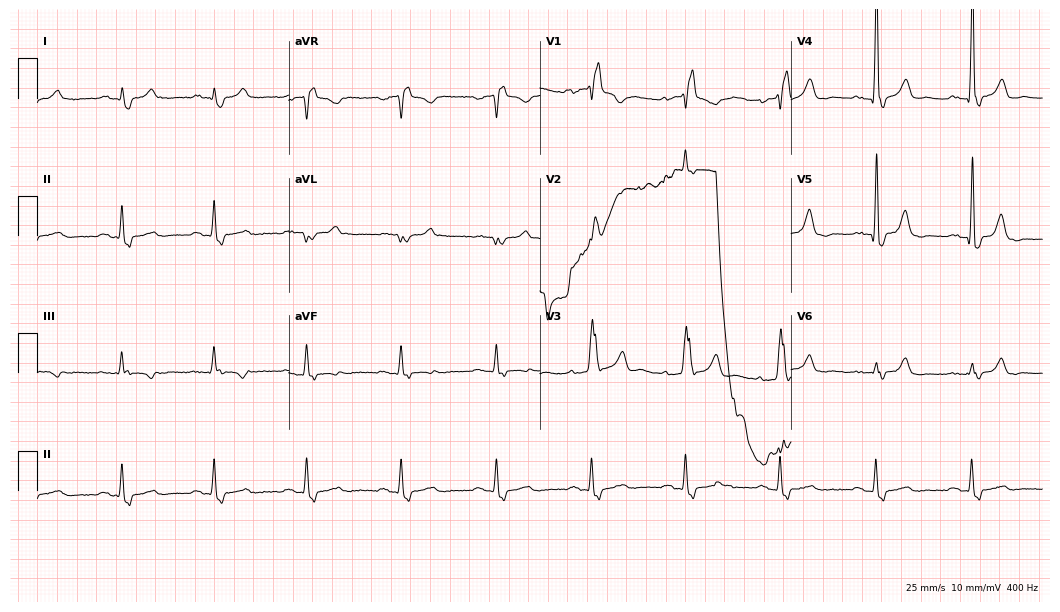
ECG (10.2-second recording at 400 Hz) — a male patient, 81 years old. Findings include right bundle branch block.